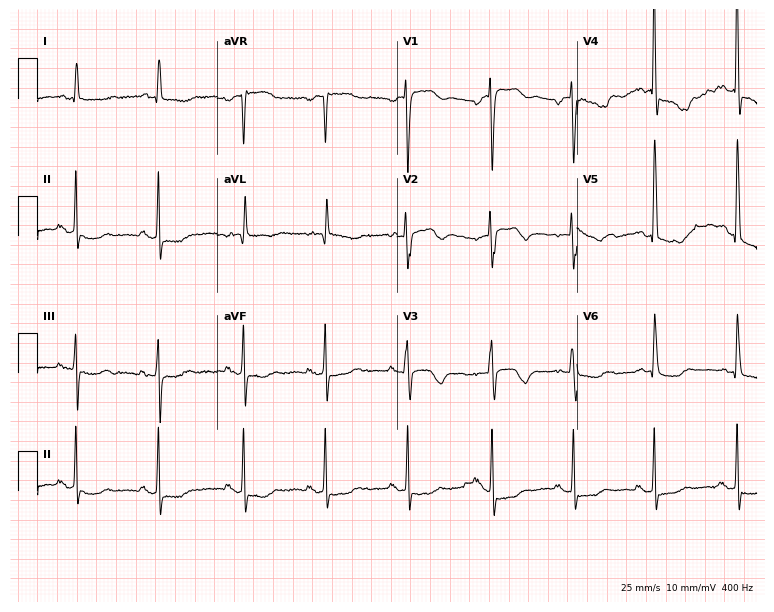
ECG — a 71-year-old female. Screened for six findings — first-degree AV block, right bundle branch block (RBBB), left bundle branch block (LBBB), sinus bradycardia, atrial fibrillation (AF), sinus tachycardia — none is recorded.